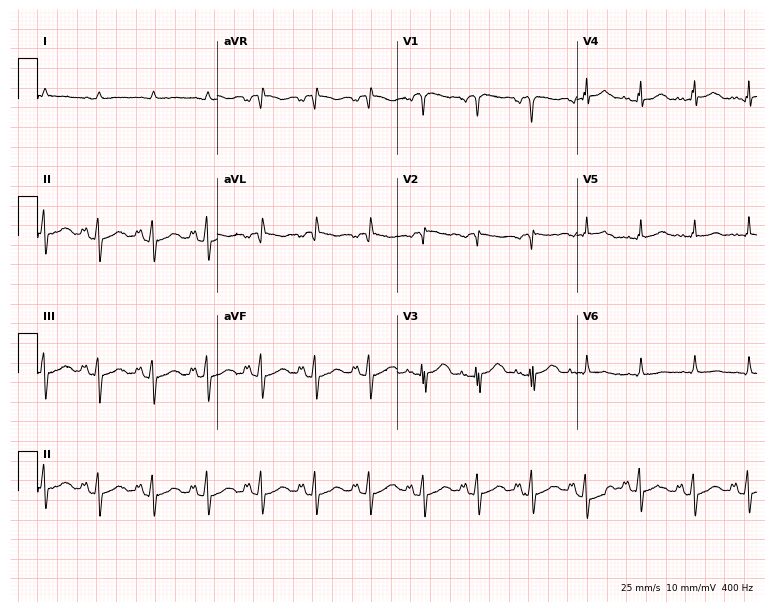
12-lead ECG from an 84-year-old male patient. Shows sinus tachycardia (a sinus rate of 100 beats per minute or more).